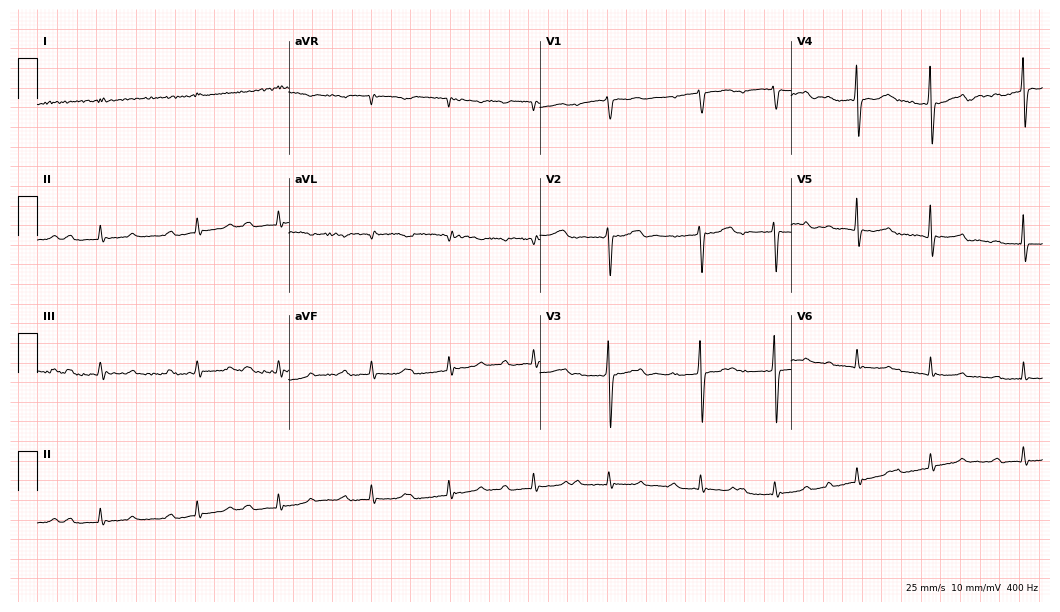
Standard 12-lead ECG recorded from a man, 71 years old (10.2-second recording at 400 Hz). None of these six findings is recorded: first-degree AV block, right bundle branch block (RBBB), left bundle branch block (LBBB), sinus bradycardia, atrial fibrillation (AF), sinus tachycardia. Findings outside these six are not listed.